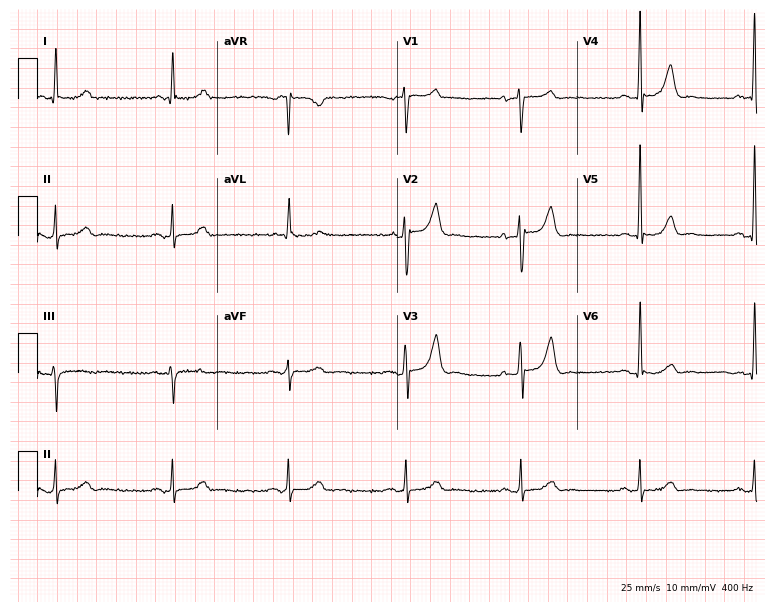
Electrocardiogram (7.3-second recording at 400 Hz), a man, 73 years old. Overall reading on record: normal ECG.